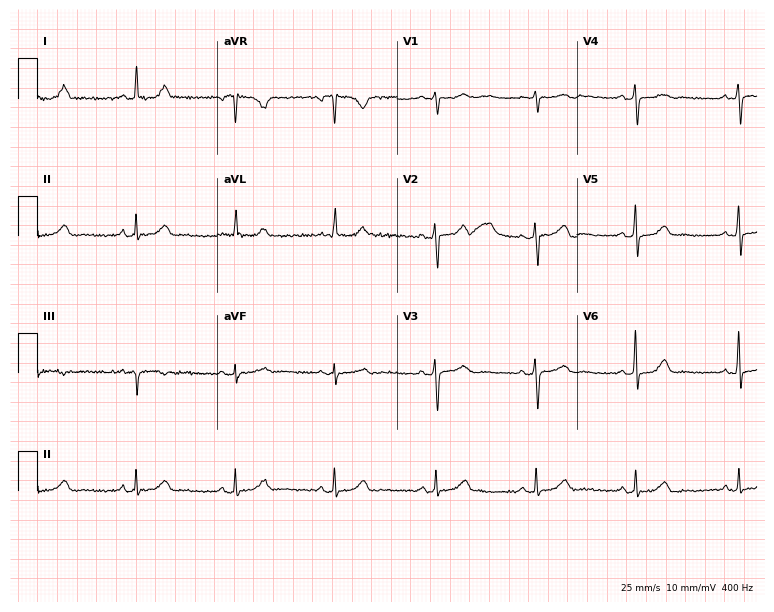
12-lead ECG from a female patient, 49 years old. Recorded interpretation: within normal limits.